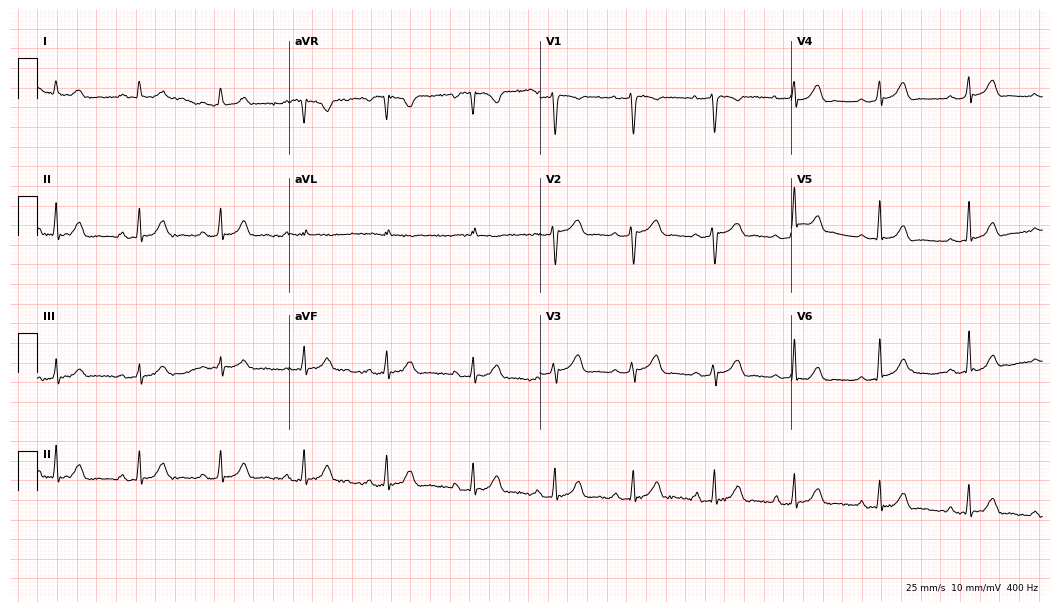
Resting 12-lead electrocardiogram (10.2-second recording at 400 Hz). Patient: a 30-year-old female. Read as a normal ECG.